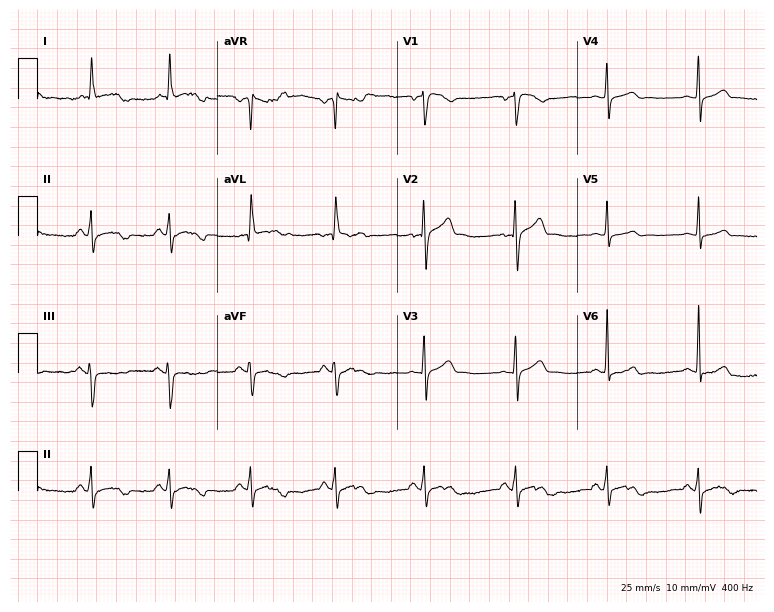
Resting 12-lead electrocardiogram (7.3-second recording at 400 Hz). Patient: a male, 38 years old. None of these six findings is recorded: first-degree AV block, right bundle branch block (RBBB), left bundle branch block (LBBB), sinus bradycardia, atrial fibrillation (AF), sinus tachycardia. Findings outside these six are not listed.